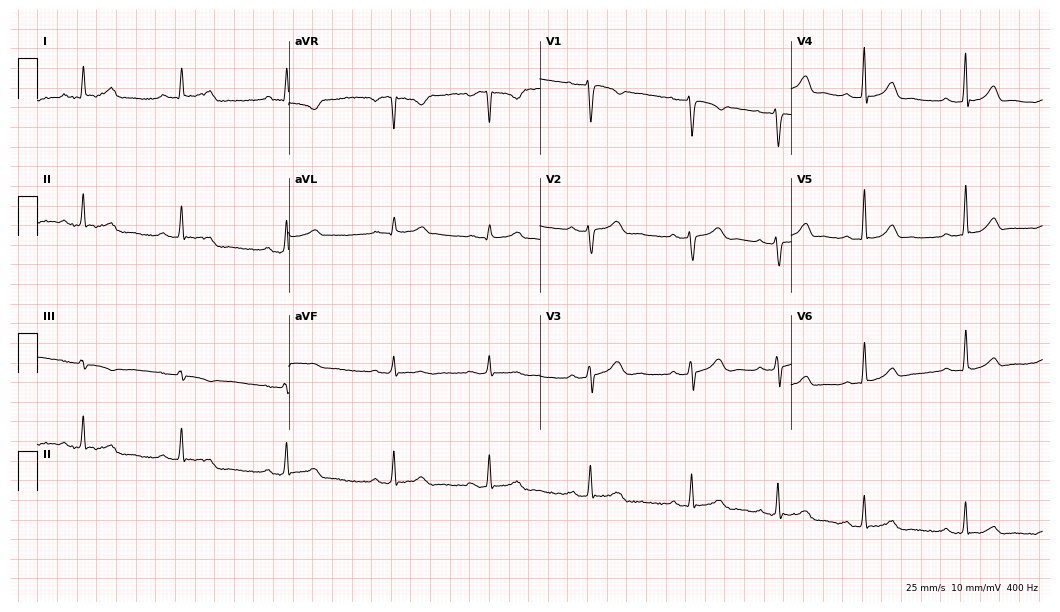
ECG (10.2-second recording at 400 Hz) — a 35-year-old female patient. Labelled as a normal ECG.